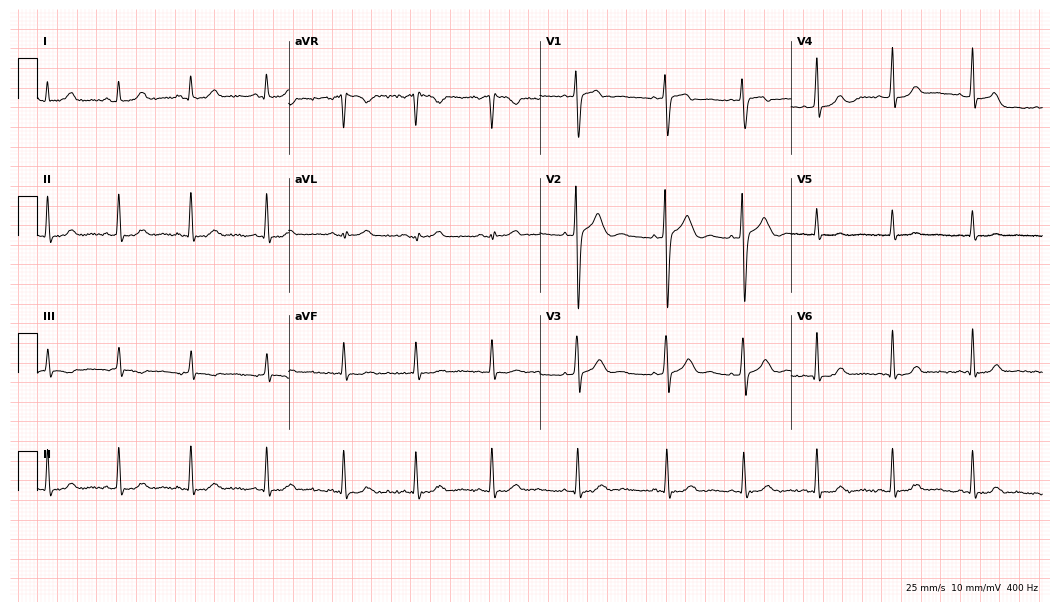
12-lead ECG from a 20-year-old woman. Labelled as a normal ECG.